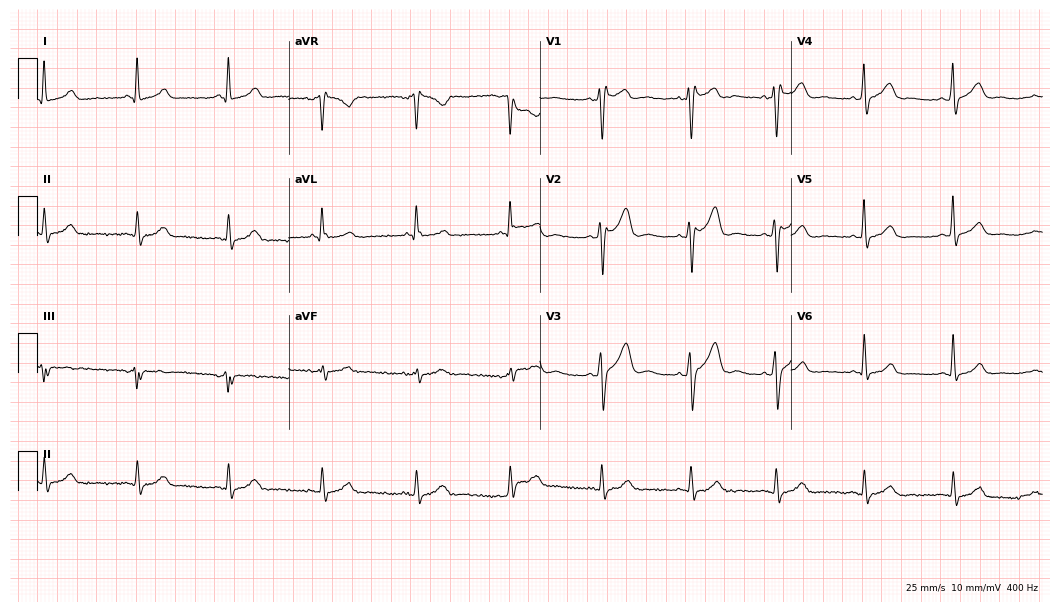
ECG — a male, 47 years old. Findings include right bundle branch block (RBBB).